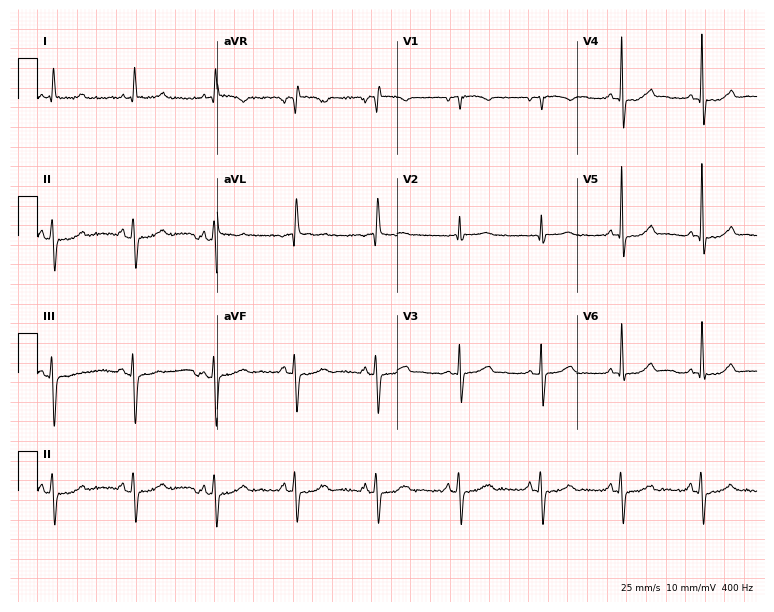
Standard 12-lead ECG recorded from a 67-year-old male patient. Read as a normal ECG.